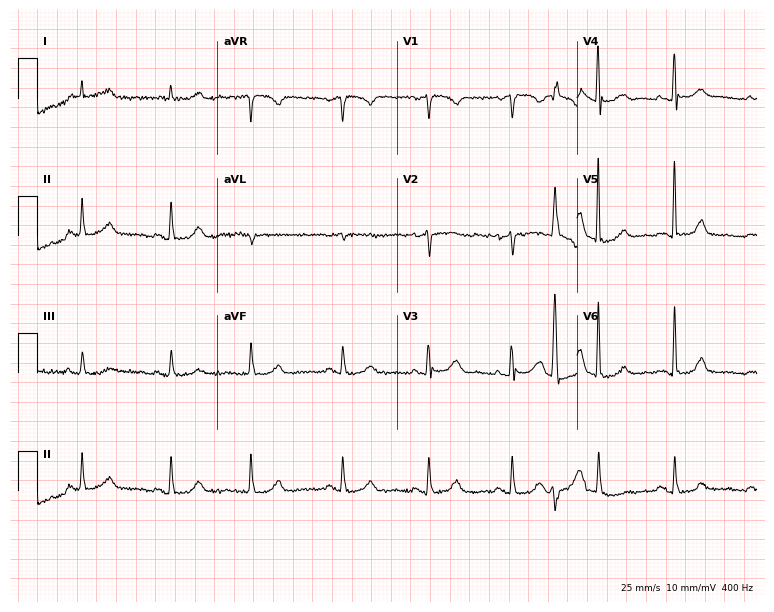
Electrocardiogram (7.3-second recording at 400 Hz), a 78-year-old woman. Of the six screened findings (first-degree AV block, right bundle branch block (RBBB), left bundle branch block (LBBB), sinus bradycardia, atrial fibrillation (AF), sinus tachycardia), none is recorded. Findings outside these six are not listed.